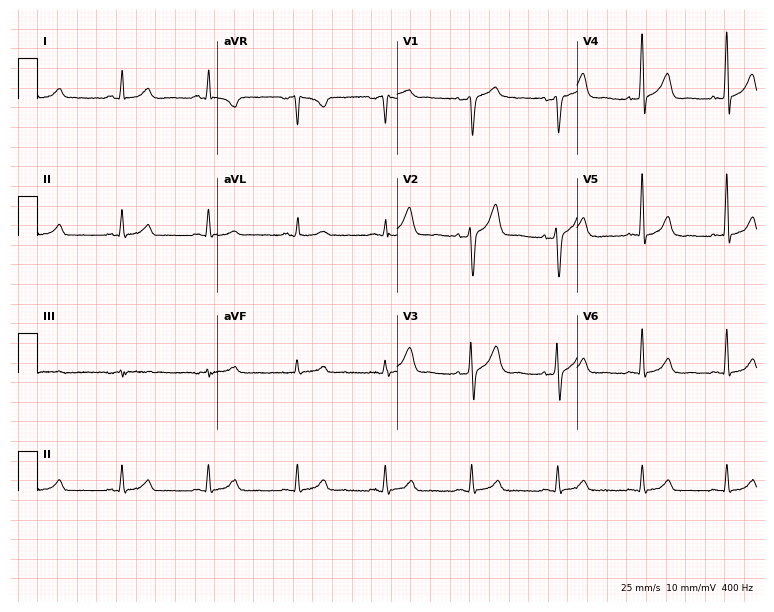
12-lead ECG (7.3-second recording at 400 Hz) from a woman, 50 years old. Labelled as a normal ECG.